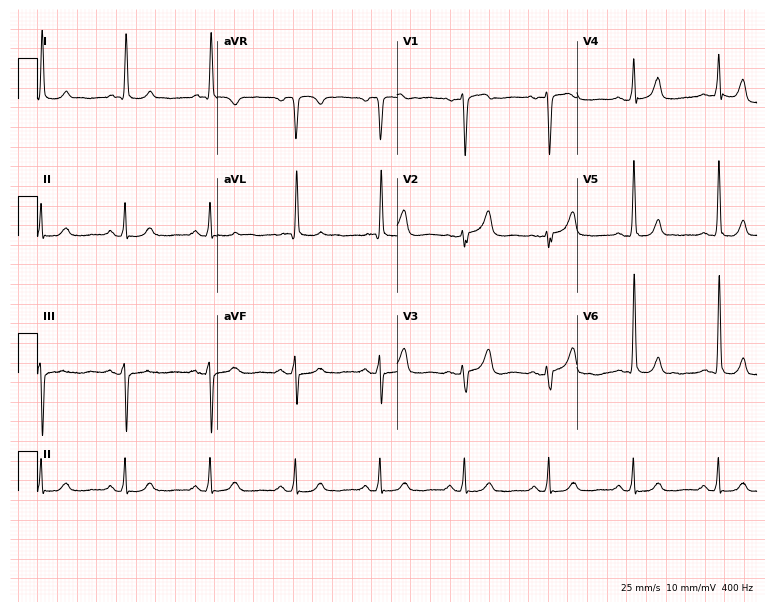
Electrocardiogram (7.3-second recording at 400 Hz), a female patient, 69 years old. Overall reading on record: normal ECG.